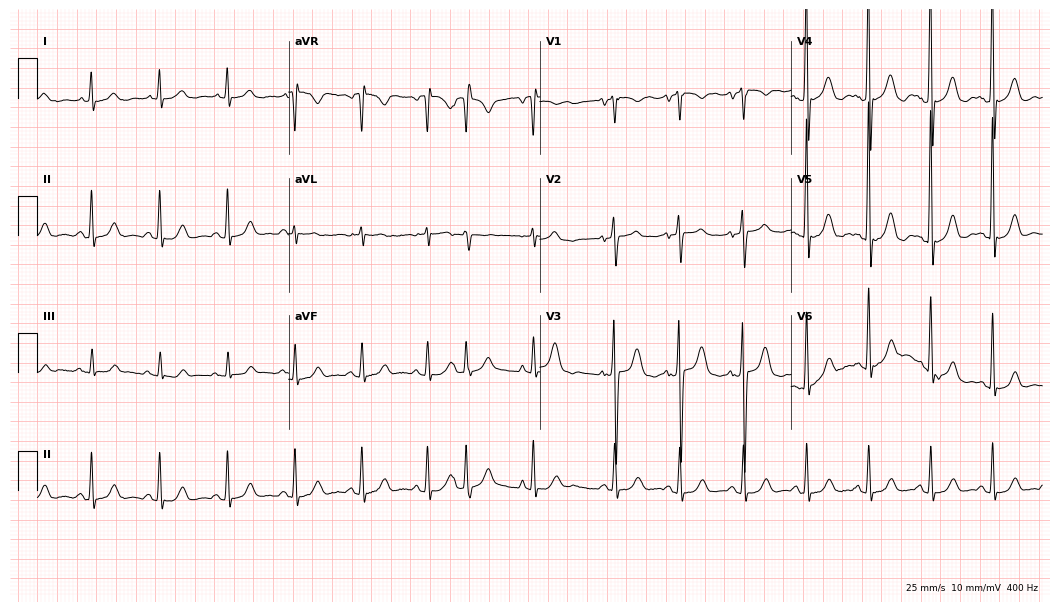
ECG (10.2-second recording at 400 Hz) — a male patient, 64 years old. Screened for six findings — first-degree AV block, right bundle branch block (RBBB), left bundle branch block (LBBB), sinus bradycardia, atrial fibrillation (AF), sinus tachycardia — none is recorded.